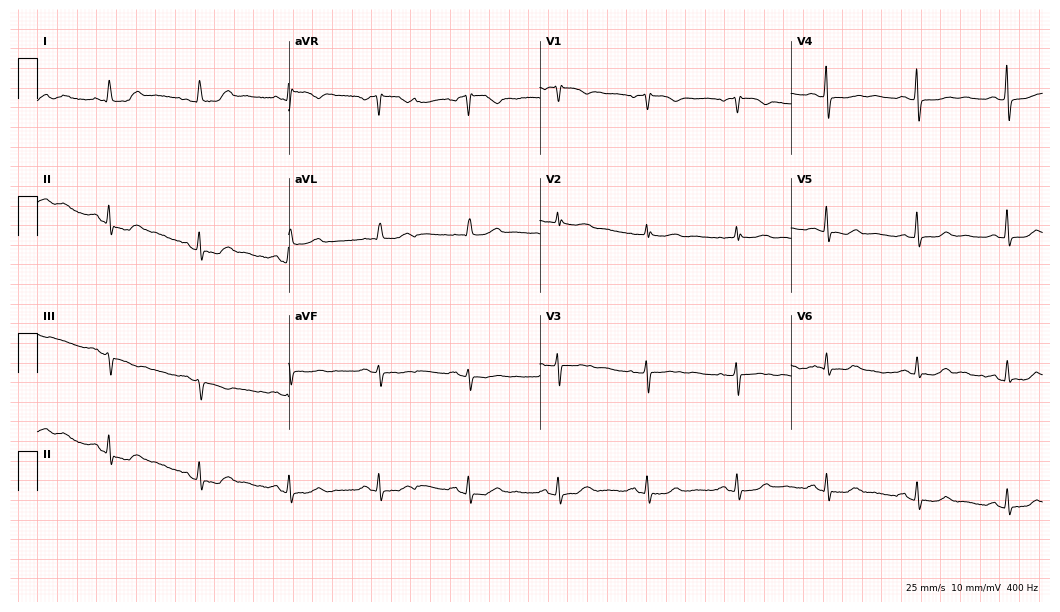
12-lead ECG from a female, 69 years old. Screened for six findings — first-degree AV block, right bundle branch block, left bundle branch block, sinus bradycardia, atrial fibrillation, sinus tachycardia — none is recorded.